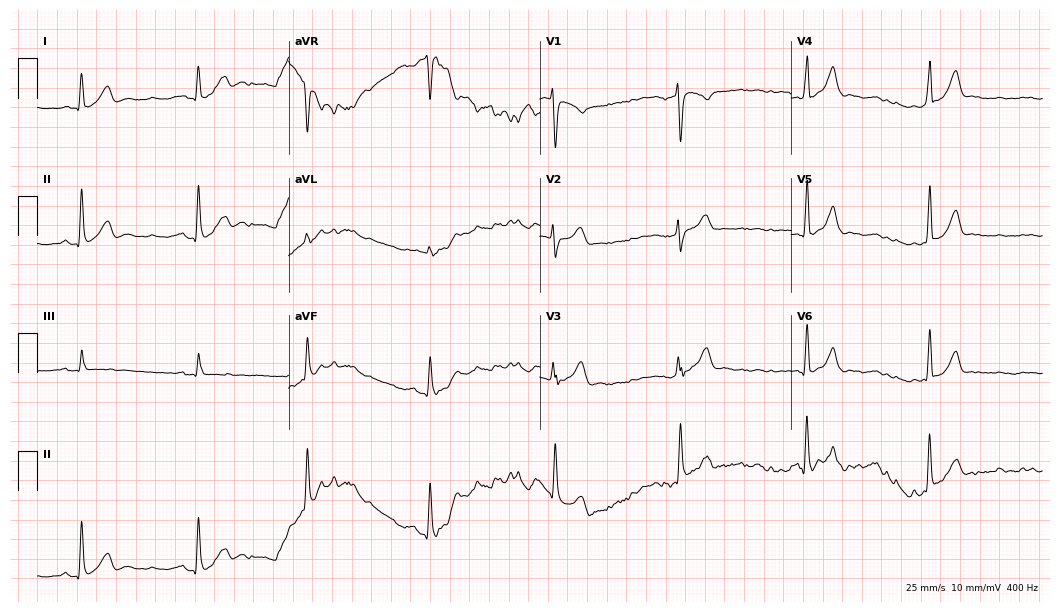
Resting 12-lead electrocardiogram. Patient: a 28-year-old male. The tracing shows sinus bradycardia (a sinus rate of 50 beats per minute or less).